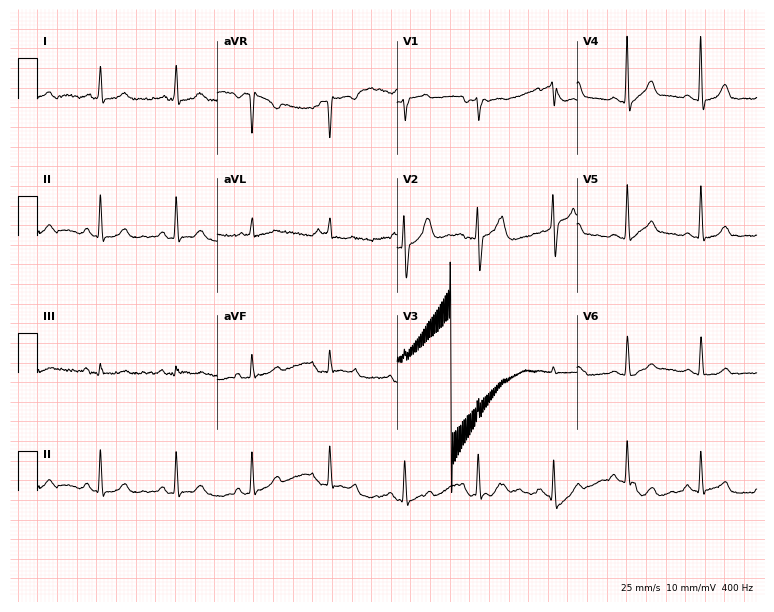
Electrocardiogram, a woman, 56 years old. Overall reading on record: normal ECG.